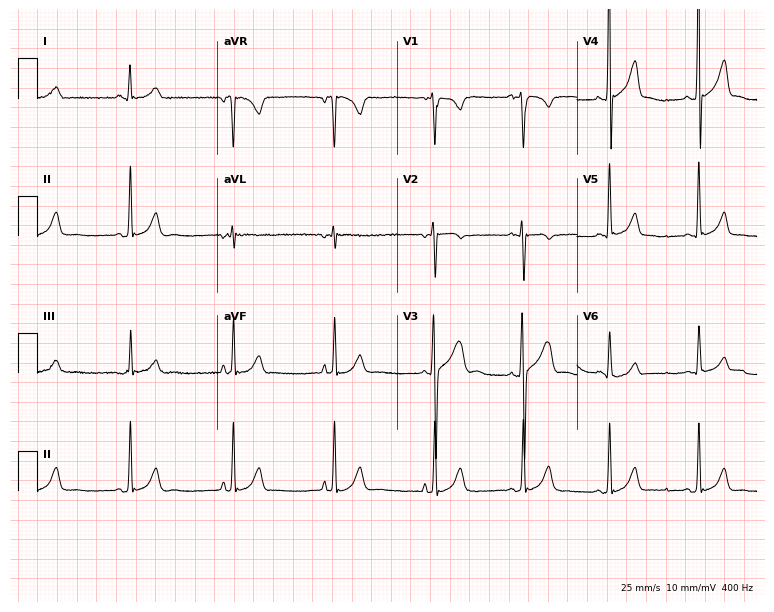
Standard 12-lead ECG recorded from a 17-year-old man. Read as a normal ECG.